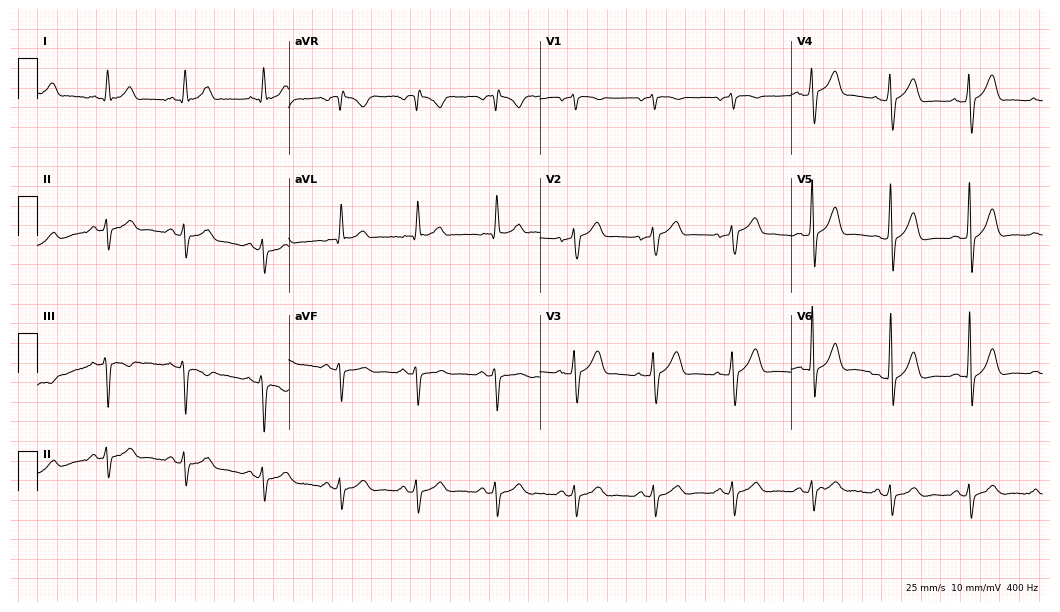
ECG (10.2-second recording at 400 Hz) — a male patient, 74 years old. Screened for six findings — first-degree AV block, right bundle branch block (RBBB), left bundle branch block (LBBB), sinus bradycardia, atrial fibrillation (AF), sinus tachycardia — none is recorded.